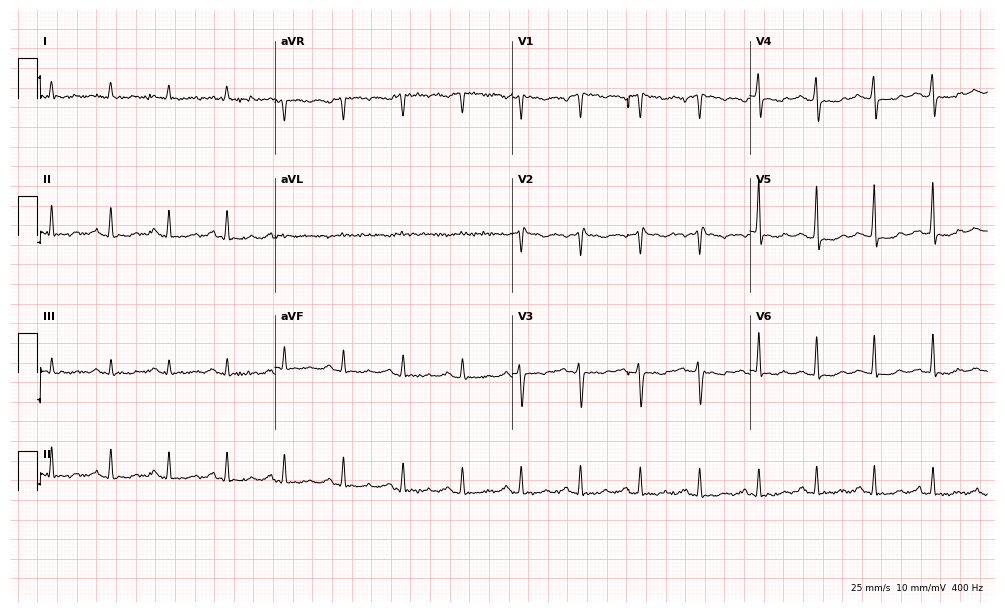
ECG — a woman, 46 years old. Findings include sinus tachycardia (a sinus rate of 100 beats per minute or more).